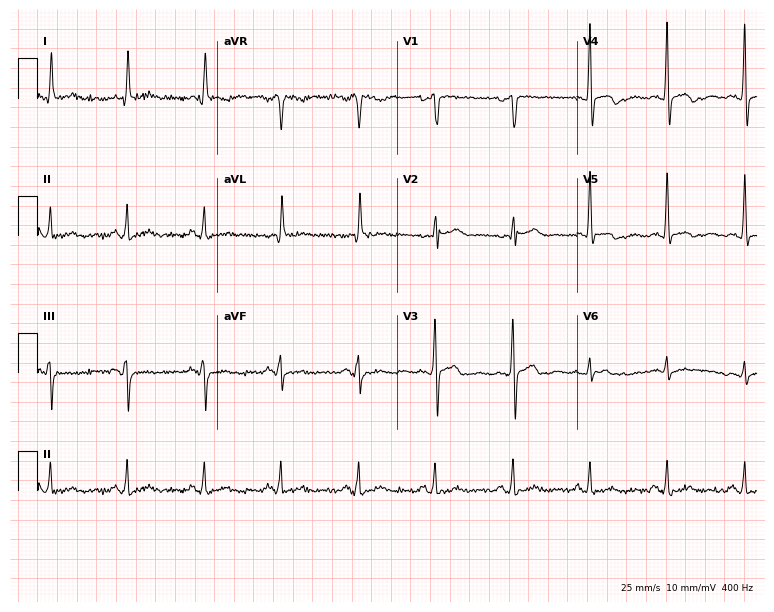
Standard 12-lead ECG recorded from a 65-year-old female. None of these six findings is recorded: first-degree AV block, right bundle branch block, left bundle branch block, sinus bradycardia, atrial fibrillation, sinus tachycardia.